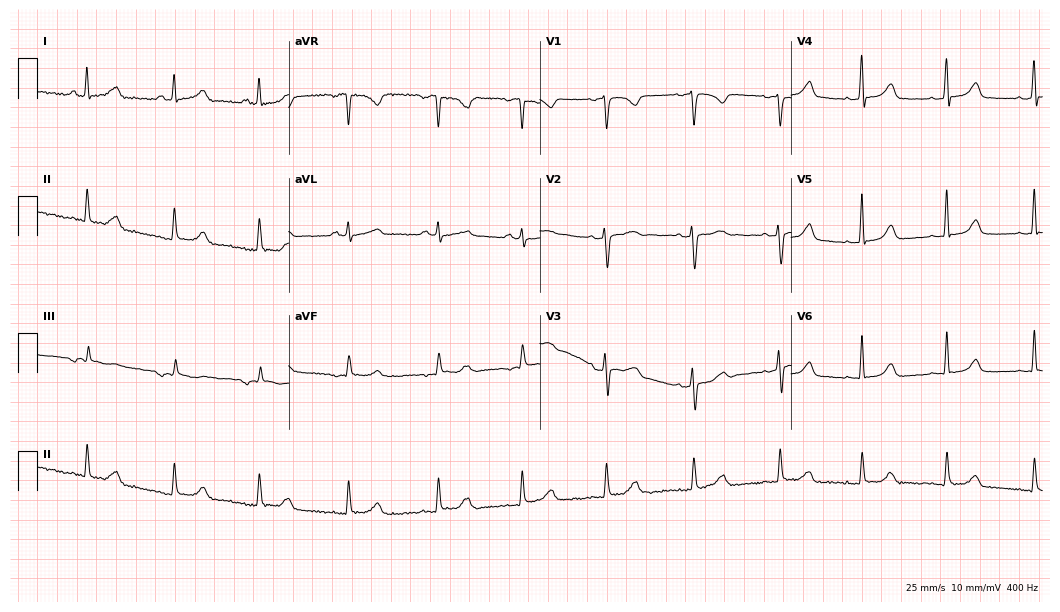
12-lead ECG (10.2-second recording at 400 Hz) from a woman, 43 years old. Screened for six findings — first-degree AV block, right bundle branch block, left bundle branch block, sinus bradycardia, atrial fibrillation, sinus tachycardia — none is recorded.